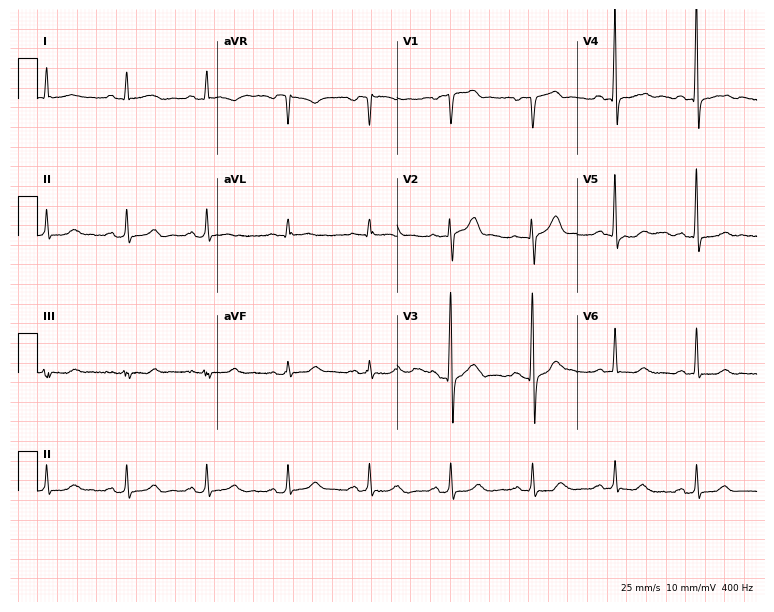
Resting 12-lead electrocardiogram. Patient: a man, 79 years old. Read as a normal ECG.